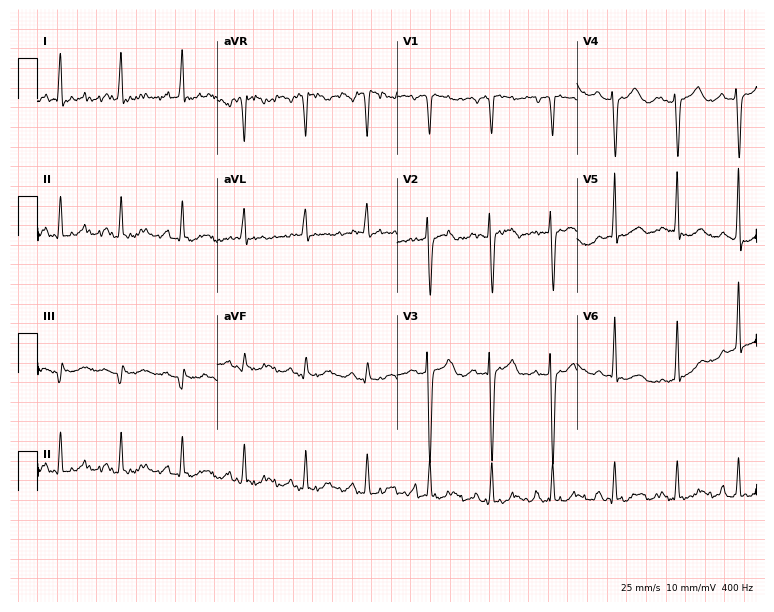
Standard 12-lead ECG recorded from a woman, 84 years old. None of these six findings is recorded: first-degree AV block, right bundle branch block (RBBB), left bundle branch block (LBBB), sinus bradycardia, atrial fibrillation (AF), sinus tachycardia. Only these six findings were labelled.